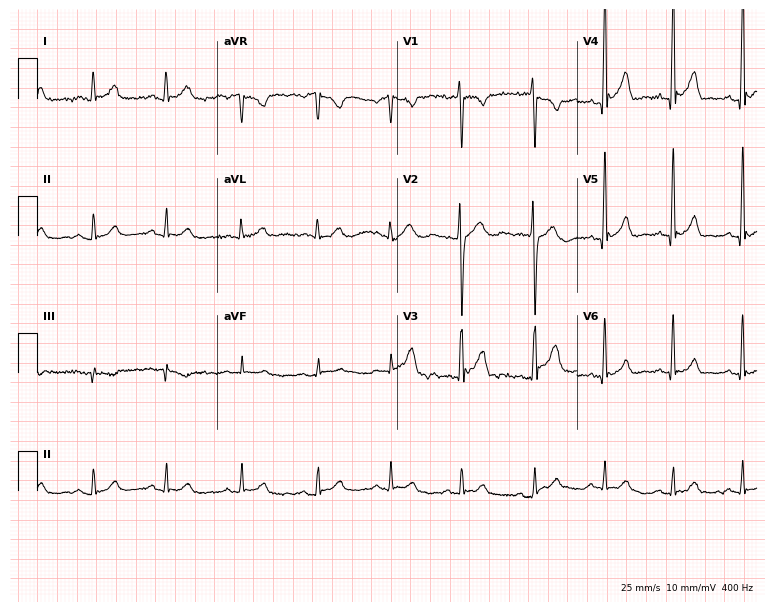
12-lead ECG from a male, 27 years old. No first-degree AV block, right bundle branch block (RBBB), left bundle branch block (LBBB), sinus bradycardia, atrial fibrillation (AF) or sinus tachycardia recorded for this tracing.